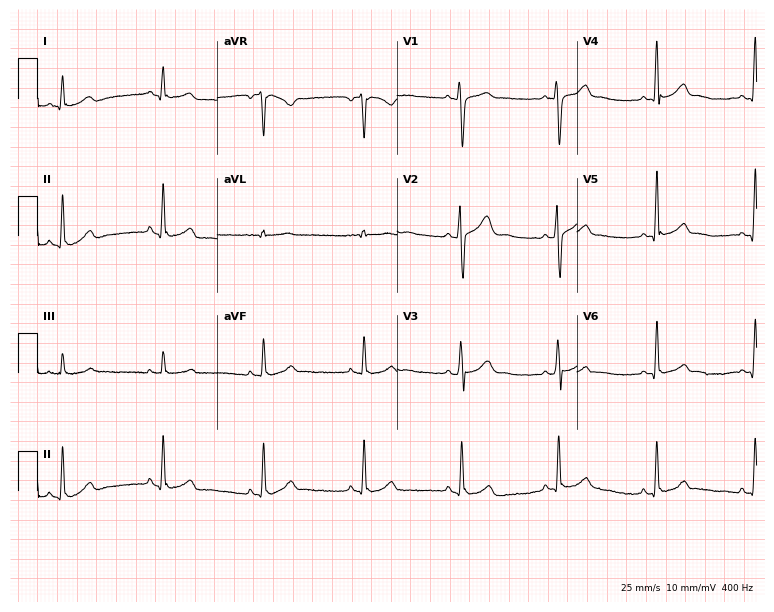
ECG — an 18-year-old man. Labelled as a normal ECG.